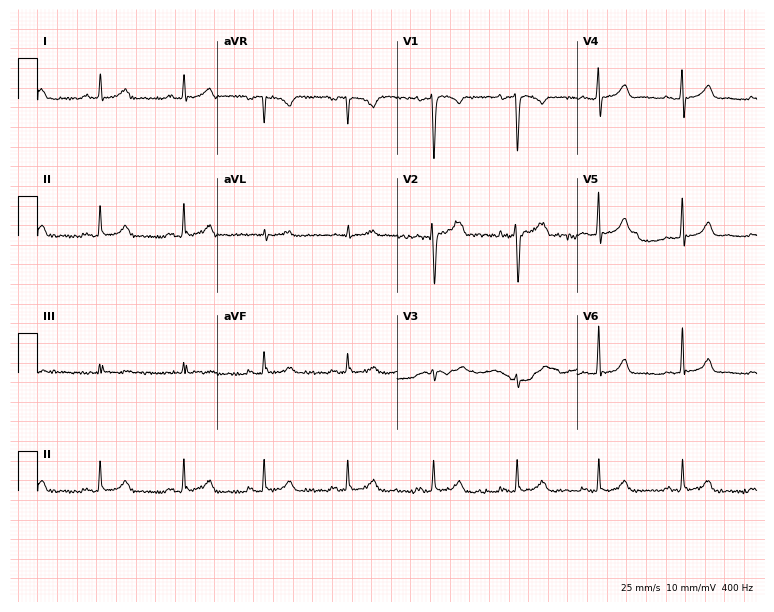
12-lead ECG from a 37-year-old female patient. Recorded interpretation: within normal limits.